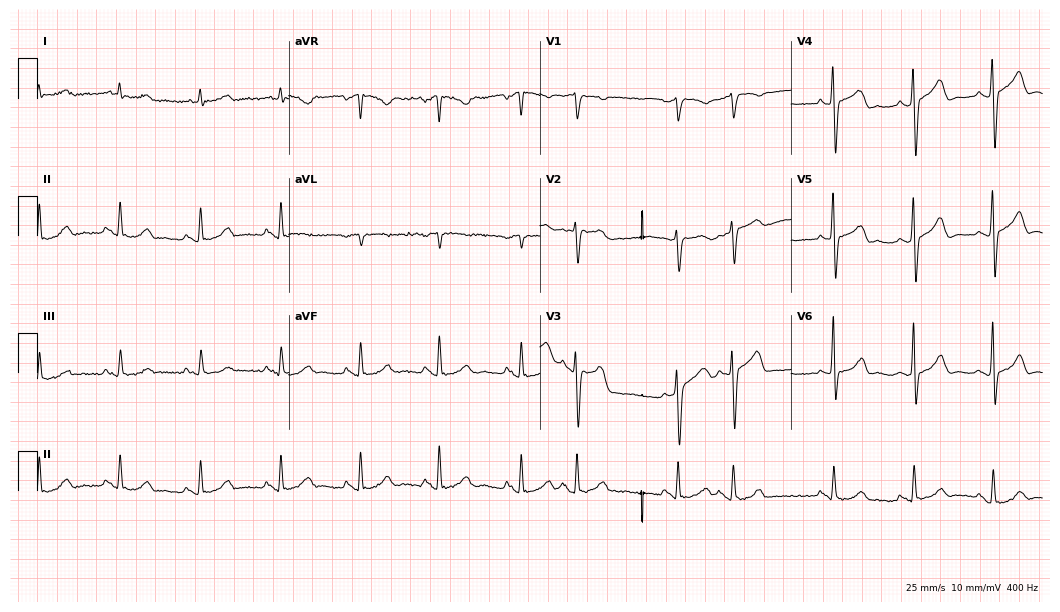
Electrocardiogram, a 77-year-old man. Of the six screened findings (first-degree AV block, right bundle branch block, left bundle branch block, sinus bradycardia, atrial fibrillation, sinus tachycardia), none is recorded. Findings outside these six are not listed.